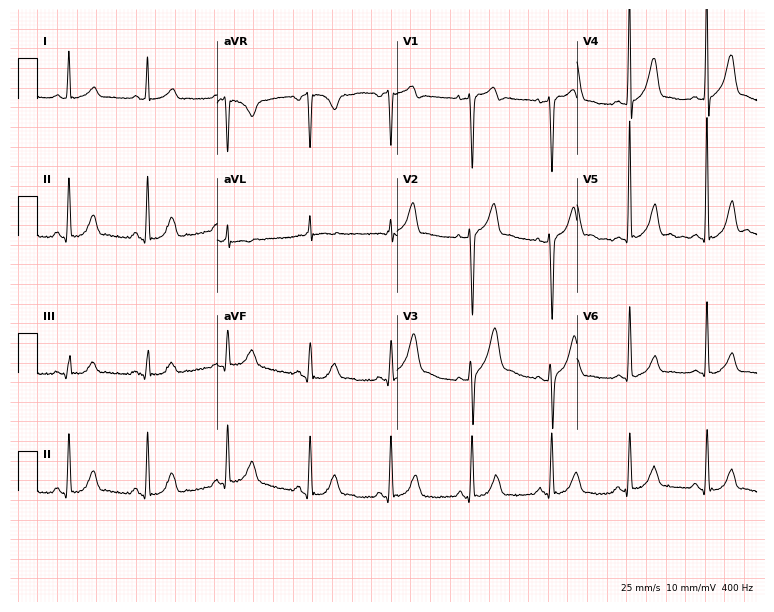
Electrocardiogram (7.3-second recording at 400 Hz), a 46-year-old man. Of the six screened findings (first-degree AV block, right bundle branch block, left bundle branch block, sinus bradycardia, atrial fibrillation, sinus tachycardia), none is recorded. Findings outside these six are not listed.